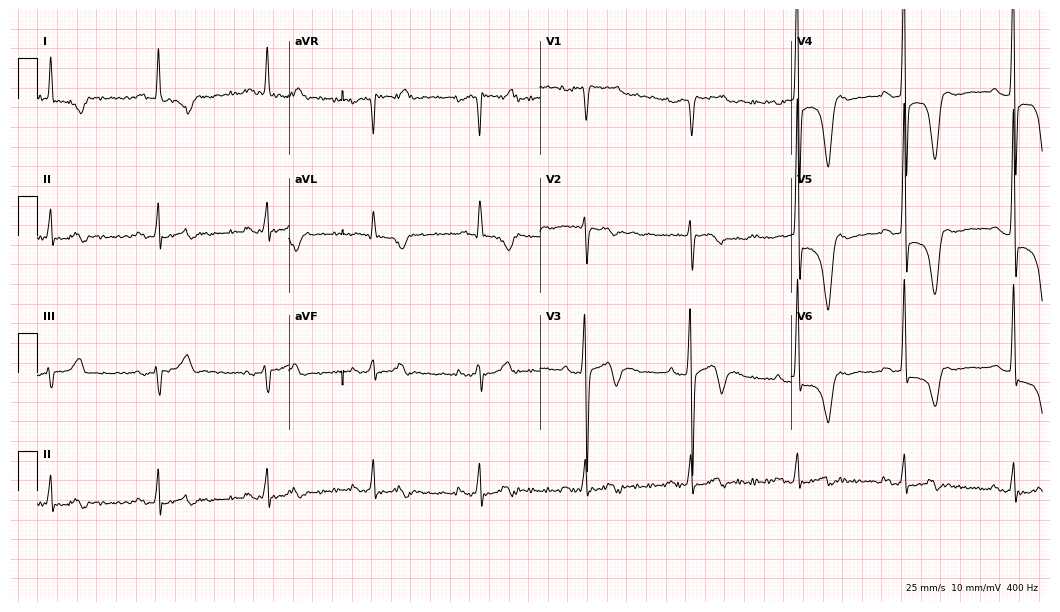
ECG (10.2-second recording at 400 Hz) — a male patient, 66 years old. Screened for six findings — first-degree AV block, right bundle branch block (RBBB), left bundle branch block (LBBB), sinus bradycardia, atrial fibrillation (AF), sinus tachycardia — none is recorded.